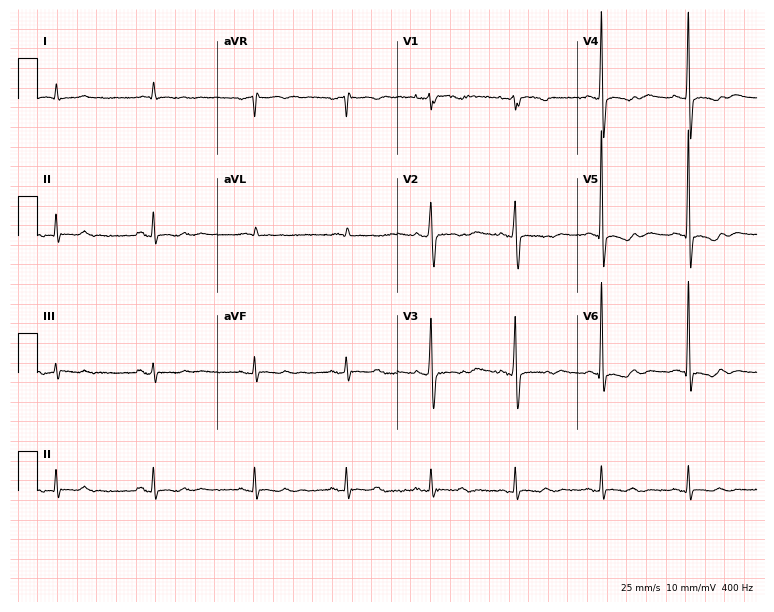
Electrocardiogram, an 84-year-old male. Of the six screened findings (first-degree AV block, right bundle branch block, left bundle branch block, sinus bradycardia, atrial fibrillation, sinus tachycardia), none is recorded. Other findings, if any, are not listed.